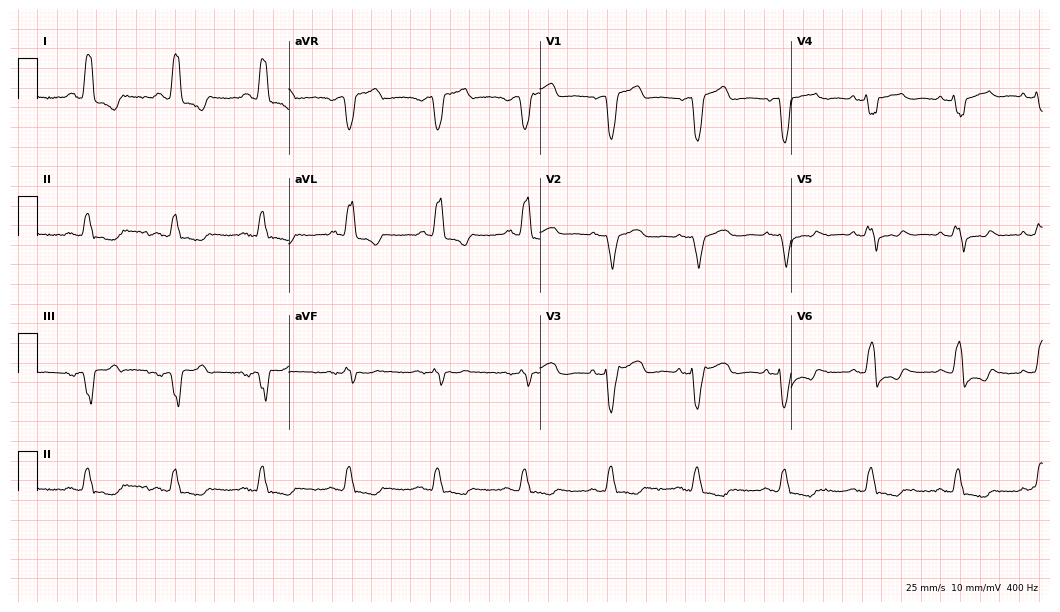
Resting 12-lead electrocardiogram. Patient: a 61-year-old male. The tracing shows left bundle branch block (LBBB).